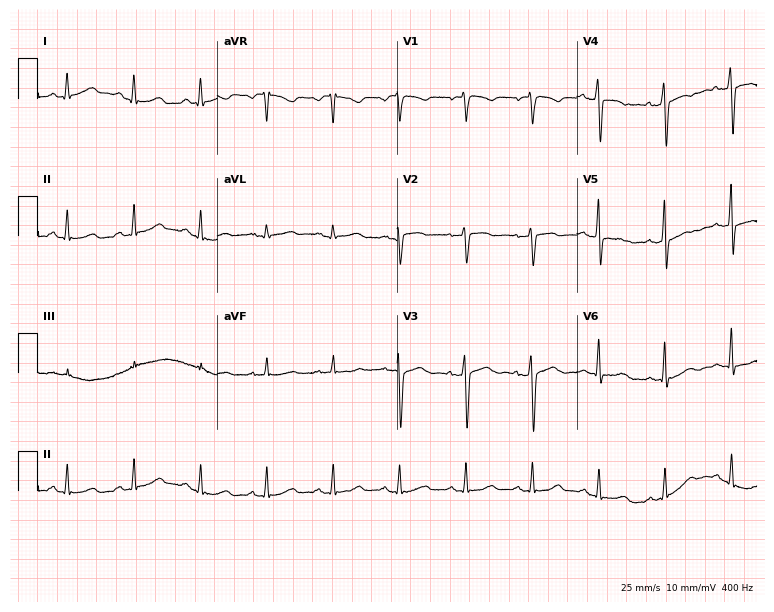
12-lead ECG from a woman, 47 years old (7.3-second recording at 400 Hz). No first-degree AV block, right bundle branch block, left bundle branch block, sinus bradycardia, atrial fibrillation or sinus tachycardia recorded for this tracing.